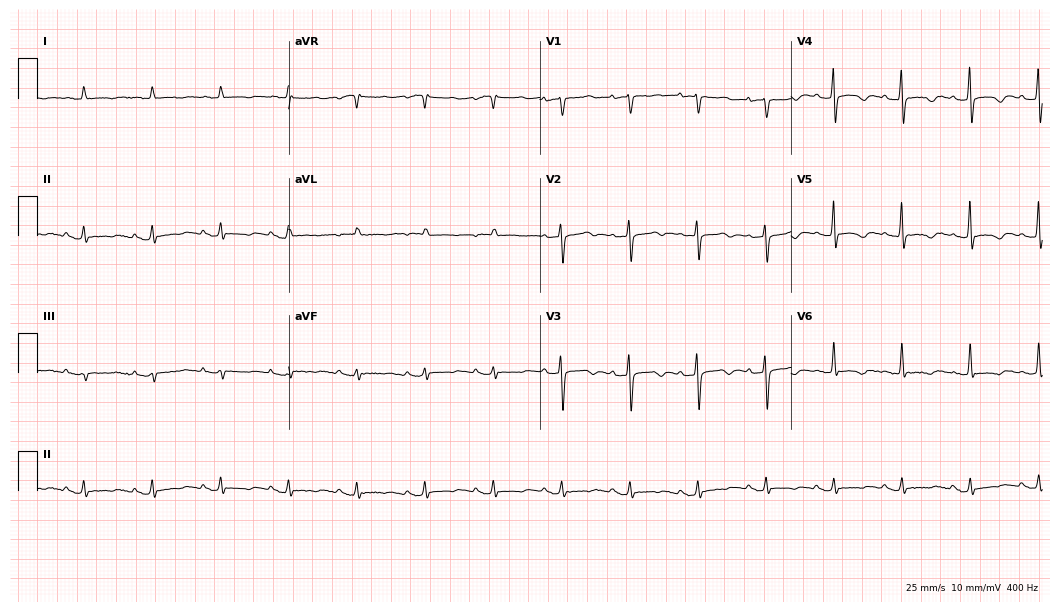
12-lead ECG from an 83-year-old female. No first-degree AV block, right bundle branch block, left bundle branch block, sinus bradycardia, atrial fibrillation or sinus tachycardia recorded for this tracing. Other findings, if any, are not listed.